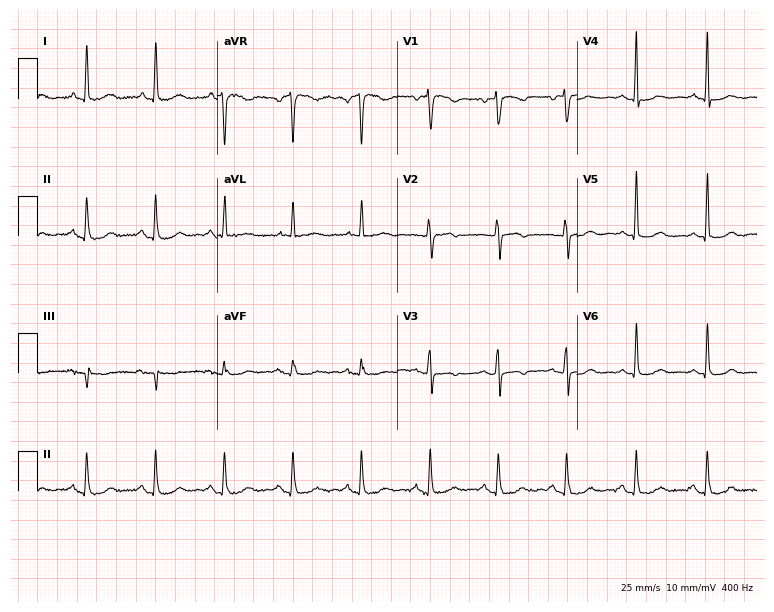
12-lead ECG from a woman, 61 years old. Screened for six findings — first-degree AV block, right bundle branch block, left bundle branch block, sinus bradycardia, atrial fibrillation, sinus tachycardia — none is recorded. Other findings, if any, are not listed.